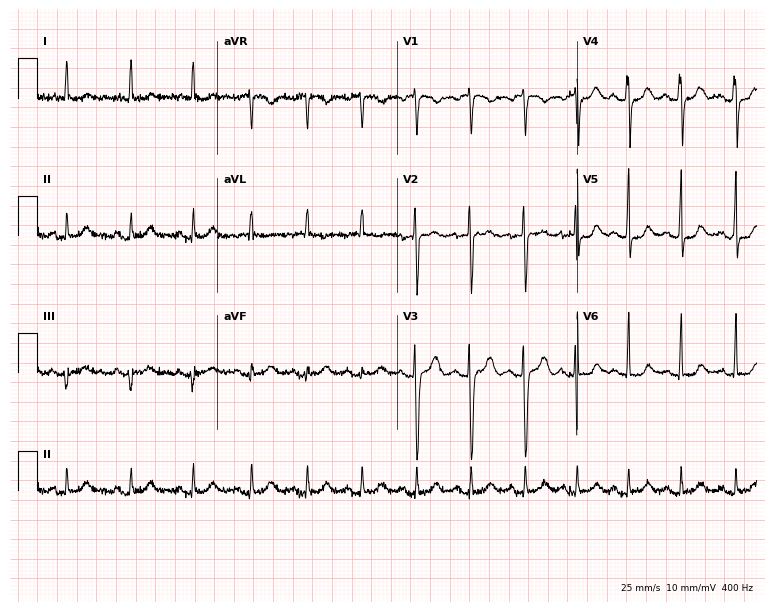
ECG (7.3-second recording at 400 Hz) — a male patient, 22 years old. Findings include sinus tachycardia (a sinus rate of 100 beats per minute or more).